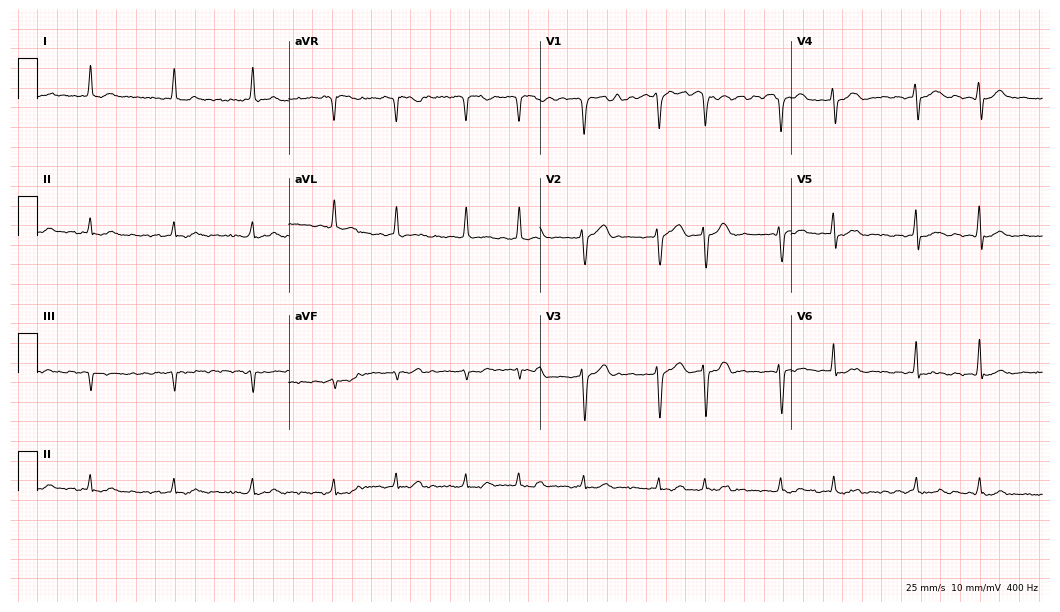
Electrocardiogram, a 61-year-old male. Of the six screened findings (first-degree AV block, right bundle branch block, left bundle branch block, sinus bradycardia, atrial fibrillation, sinus tachycardia), none is recorded. Other findings, if any, are not listed.